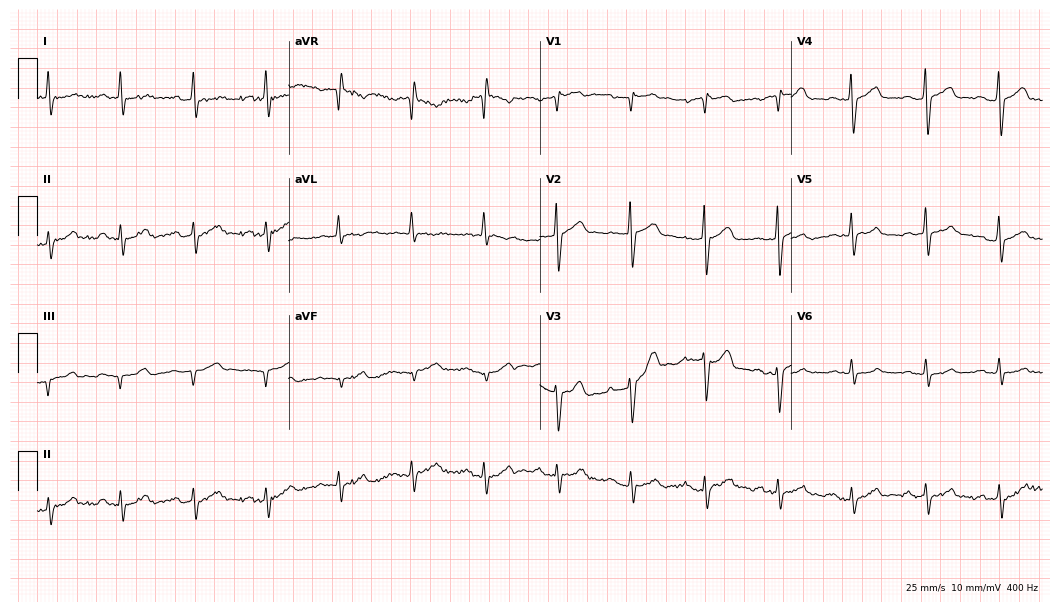
Electrocardiogram, a 62-year-old man. Interpretation includes first-degree AV block.